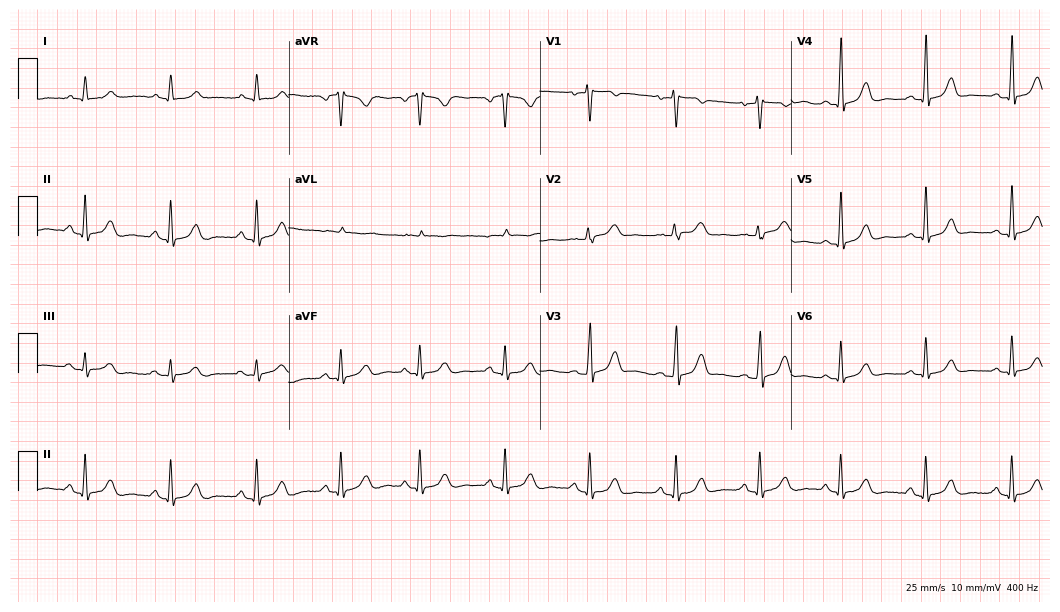
12-lead ECG from a 63-year-old woman. Screened for six findings — first-degree AV block, right bundle branch block, left bundle branch block, sinus bradycardia, atrial fibrillation, sinus tachycardia — none is recorded. Other findings, if any, are not listed.